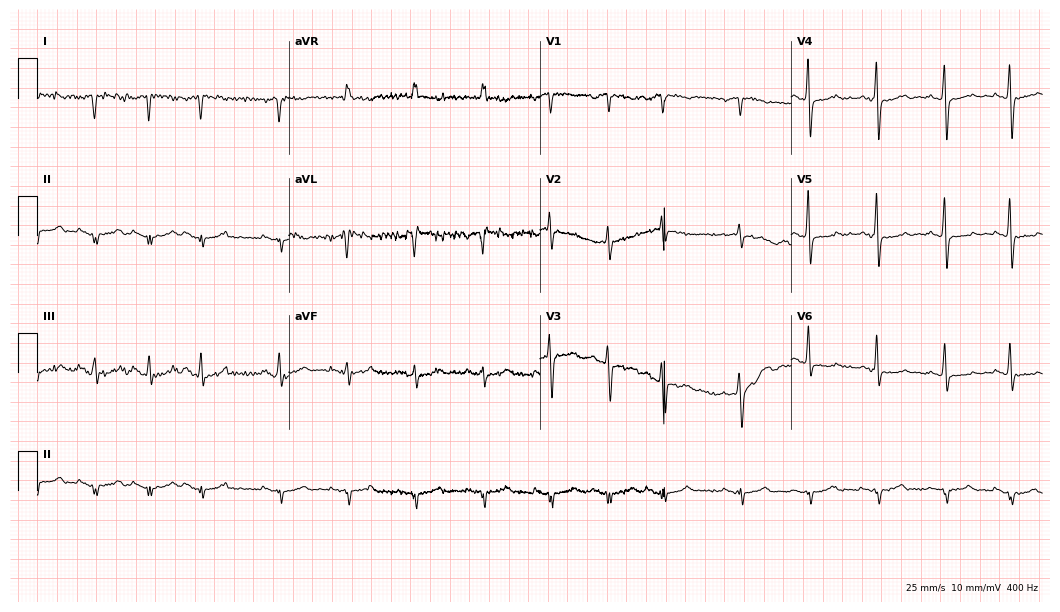
ECG — an 85-year-old female patient. Screened for six findings — first-degree AV block, right bundle branch block, left bundle branch block, sinus bradycardia, atrial fibrillation, sinus tachycardia — none is recorded. Only these six findings were labelled.